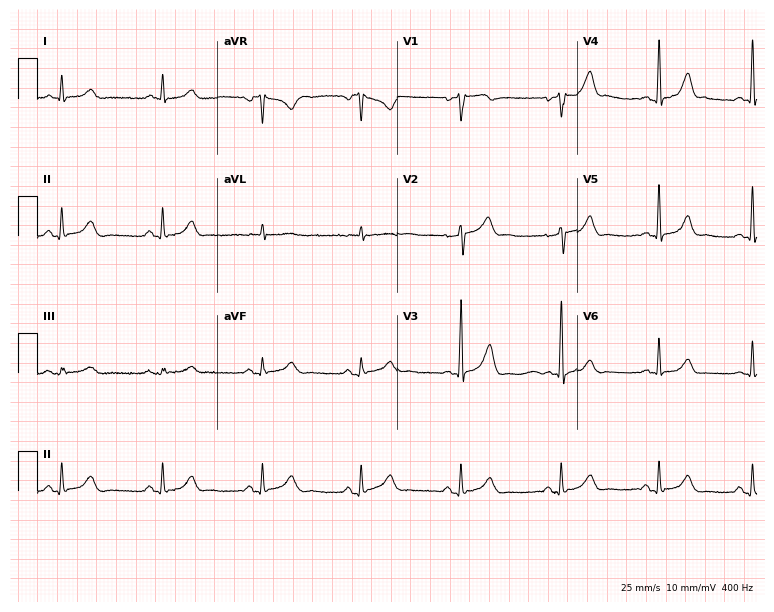
ECG — a 62-year-old male patient. Labelled as a normal ECG.